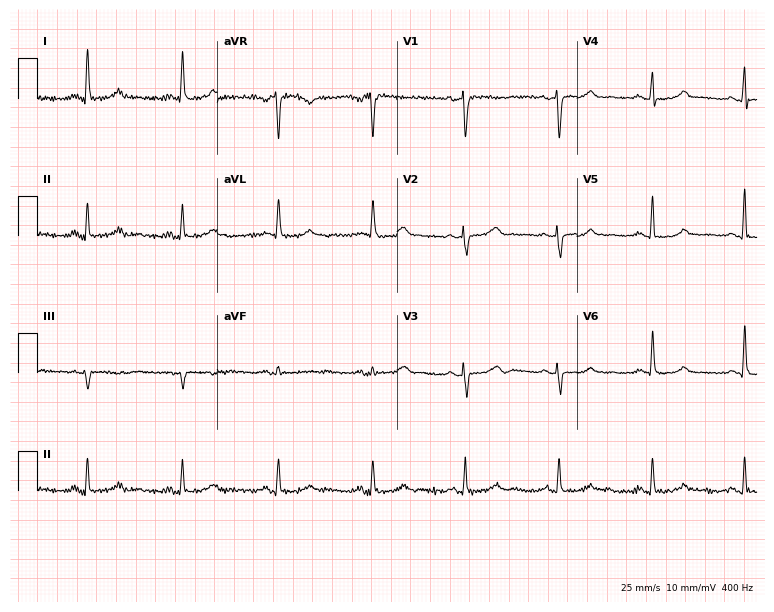
Resting 12-lead electrocardiogram. Patient: a 64-year-old female. Read as a normal ECG.